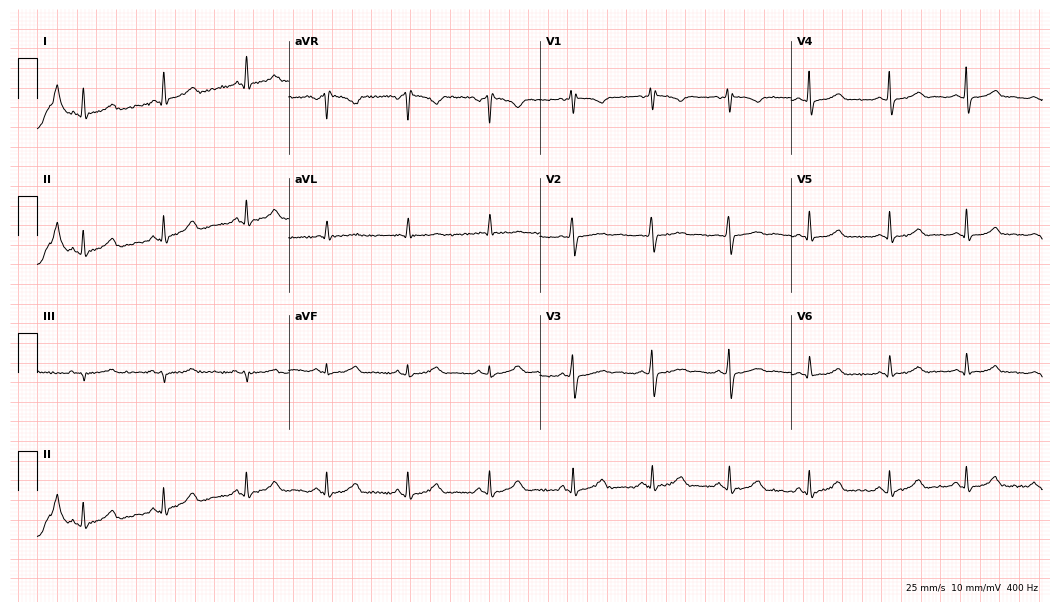
Standard 12-lead ECG recorded from a woman, 41 years old (10.2-second recording at 400 Hz). None of these six findings is recorded: first-degree AV block, right bundle branch block (RBBB), left bundle branch block (LBBB), sinus bradycardia, atrial fibrillation (AF), sinus tachycardia.